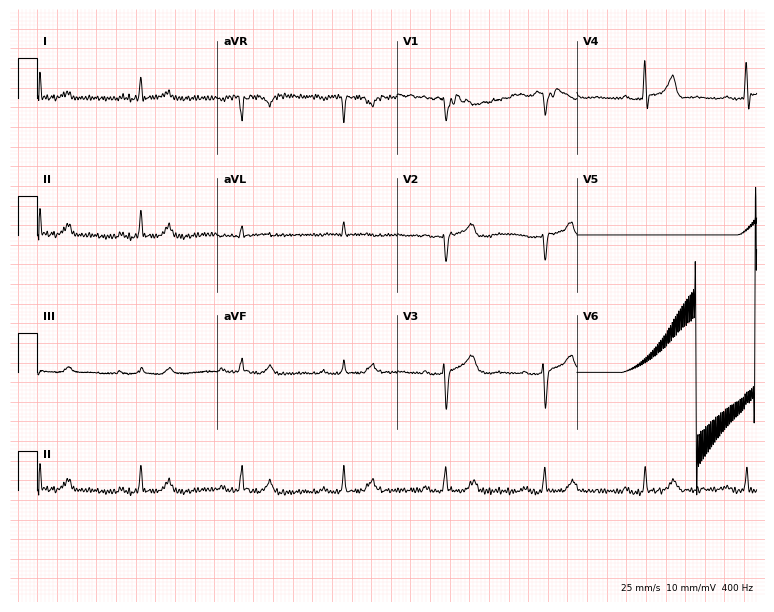
12-lead ECG from a 64-year-old female patient (7.3-second recording at 400 Hz). No first-degree AV block, right bundle branch block (RBBB), left bundle branch block (LBBB), sinus bradycardia, atrial fibrillation (AF) or sinus tachycardia recorded for this tracing. Findings outside these six are not listed.